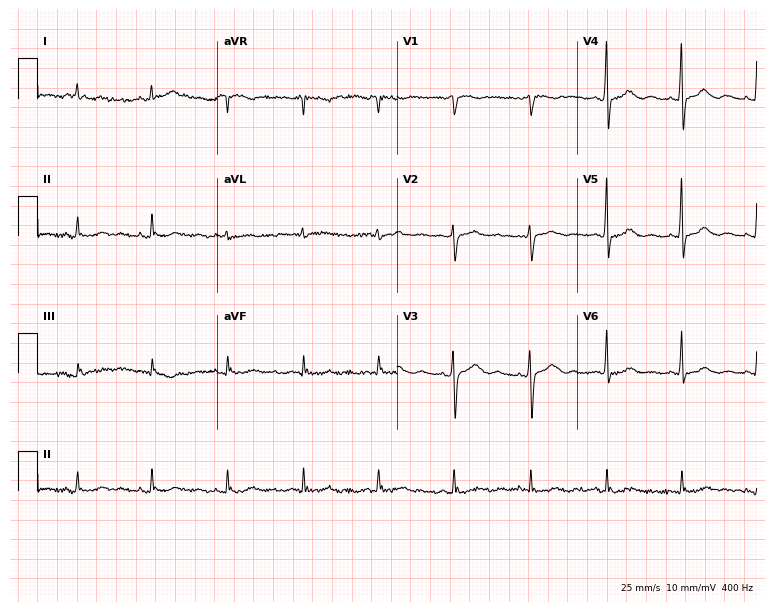
Electrocardiogram (7.3-second recording at 400 Hz), a female, 79 years old. Overall reading on record: normal ECG.